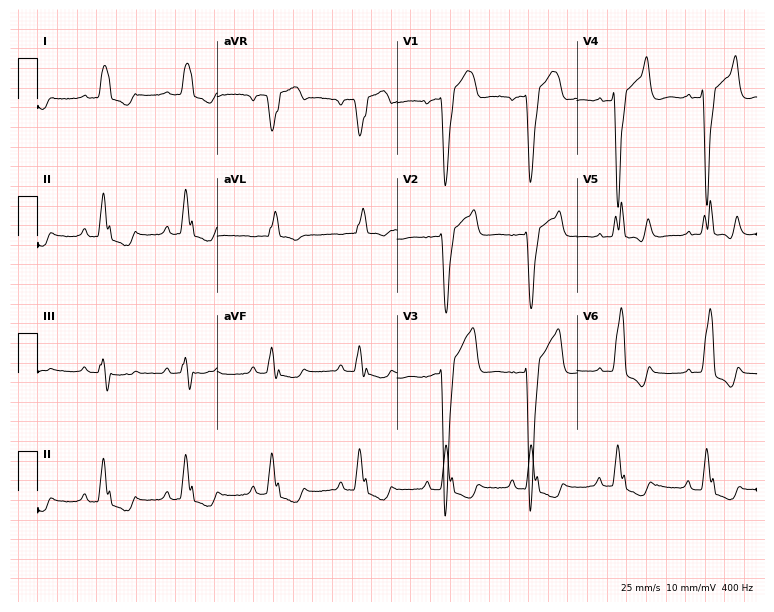
ECG (7.3-second recording at 400 Hz) — a 71-year-old man. Findings include left bundle branch block.